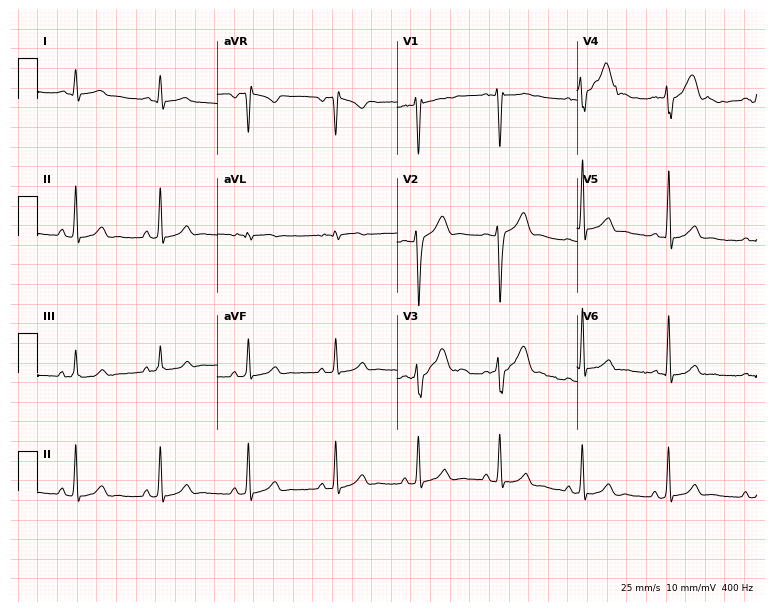
Electrocardiogram, a man, 37 years old. Of the six screened findings (first-degree AV block, right bundle branch block (RBBB), left bundle branch block (LBBB), sinus bradycardia, atrial fibrillation (AF), sinus tachycardia), none is recorded. Only these six findings were labelled.